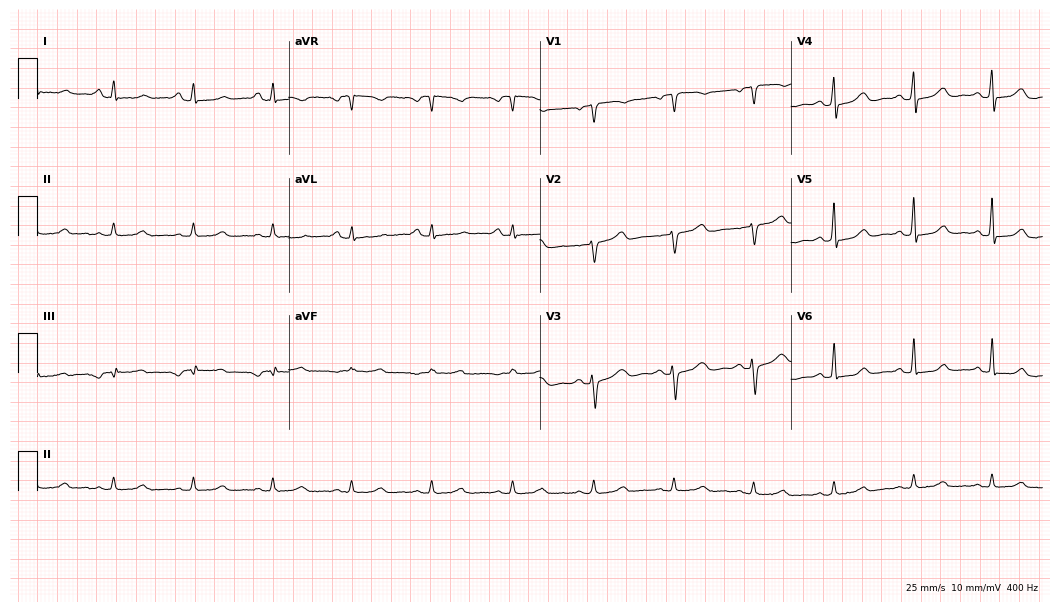
ECG (10.2-second recording at 400 Hz) — a female patient, 80 years old. Labelled as a normal ECG.